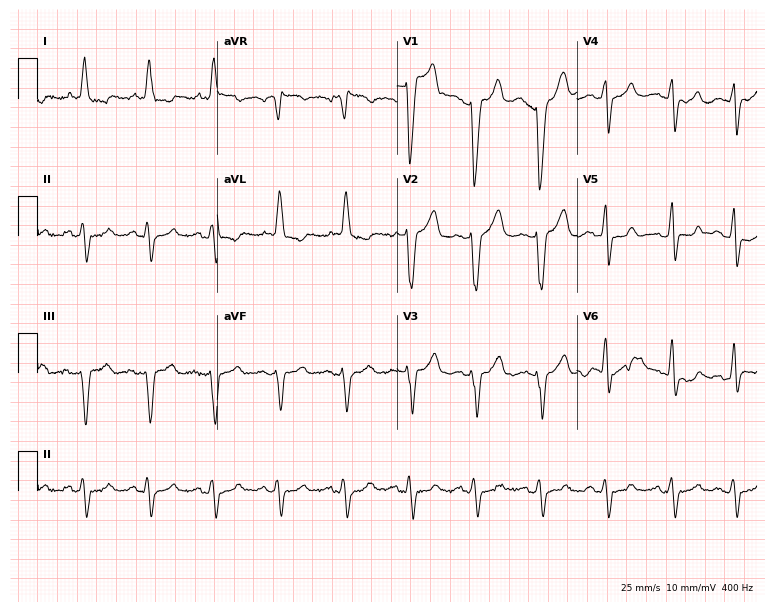
12-lead ECG from a man, 87 years old (7.3-second recording at 400 Hz). No first-degree AV block, right bundle branch block (RBBB), left bundle branch block (LBBB), sinus bradycardia, atrial fibrillation (AF) or sinus tachycardia recorded for this tracing.